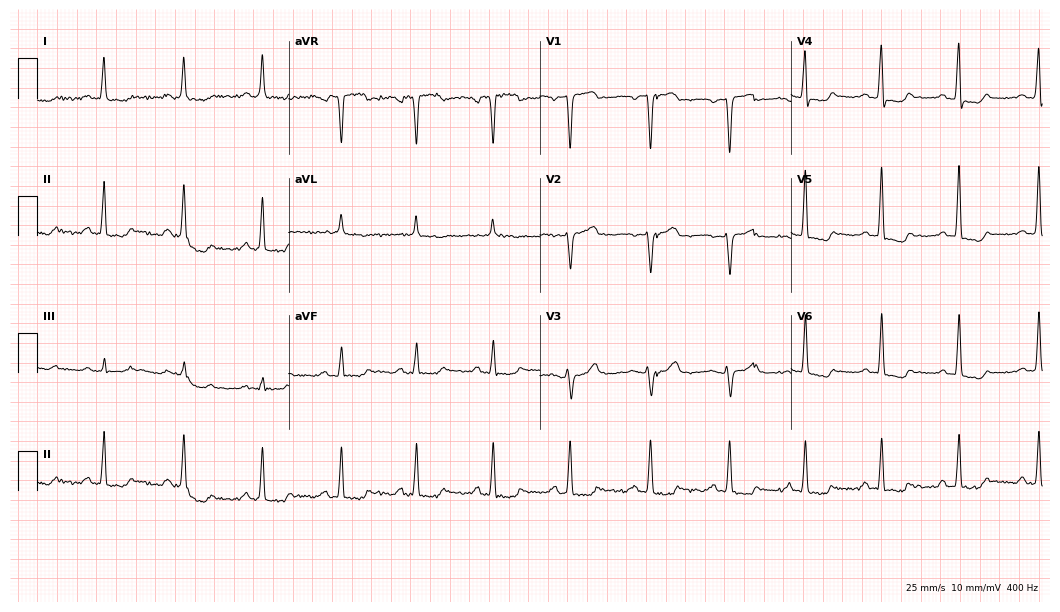
ECG (10.2-second recording at 400 Hz) — a female, 66 years old. Screened for six findings — first-degree AV block, right bundle branch block, left bundle branch block, sinus bradycardia, atrial fibrillation, sinus tachycardia — none is recorded.